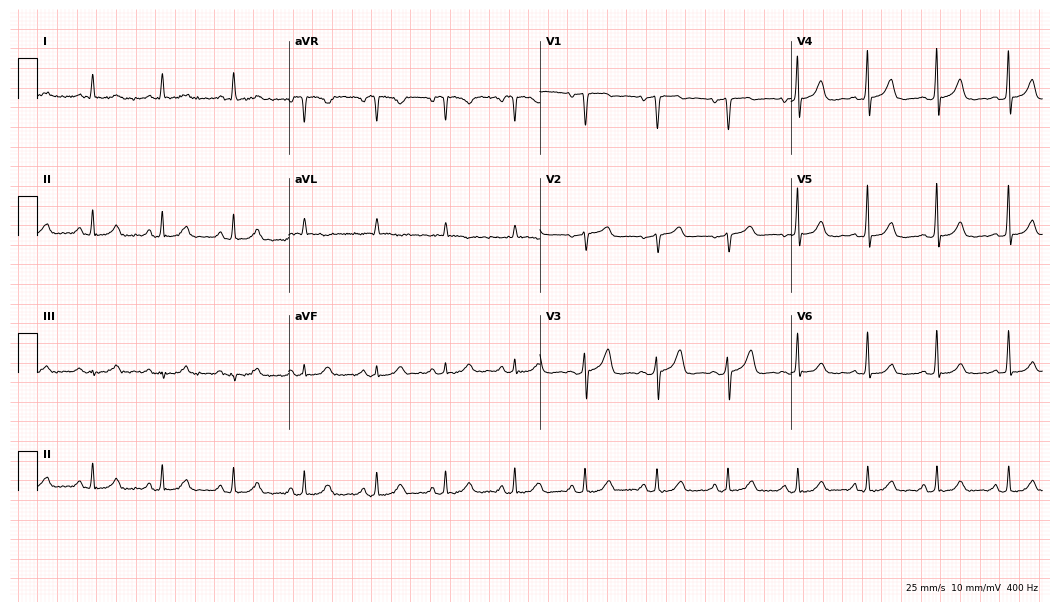
12-lead ECG from a female, 49 years old. Recorded interpretation: within normal limits.